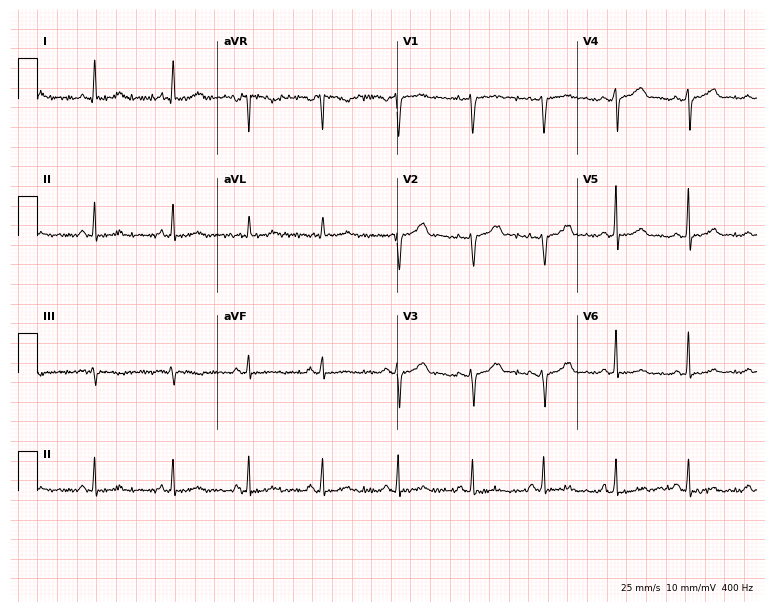
Standard 12-lead ECG recorded from a female patient, 42 years old. Read as a normal ECG.